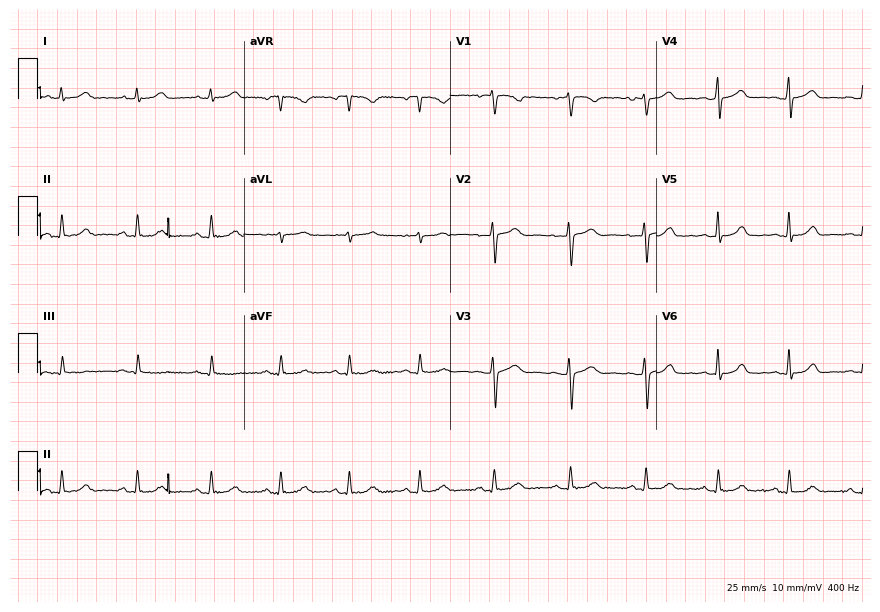
Standard 12-lead ECG recorded from a female patient, 35 years old (8.4-second recording at 400 Hz). Read as a normal ECG.